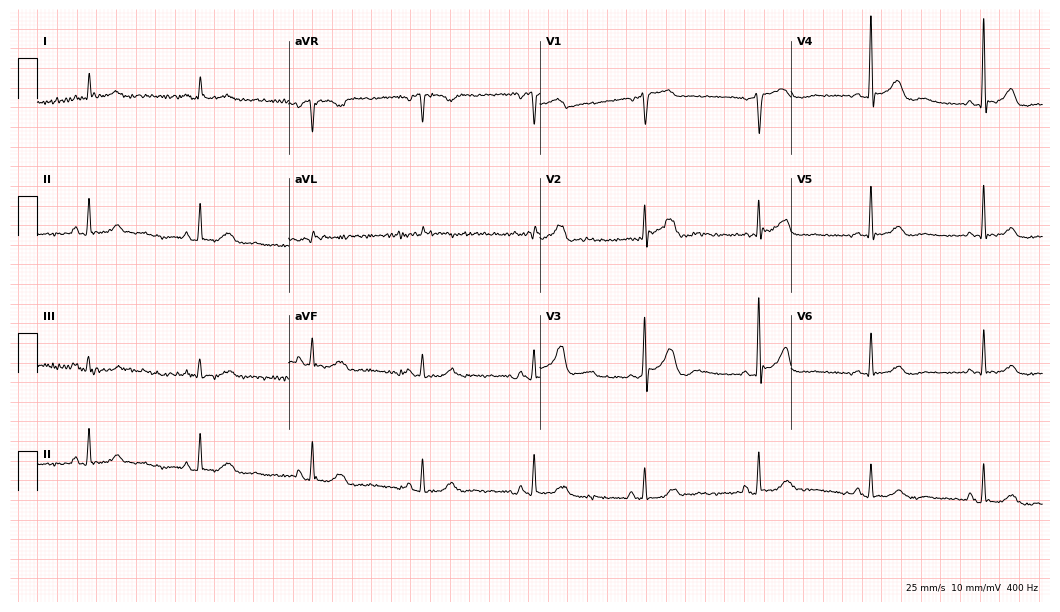
12-lead ECG (10.2-second recording at 400 Hz) from a male patient, 77 years old. Screened for six findings — first-degree AV block, right bundle branch block, left bundle branch block, sinus bradycardia, atrial fibrillation, sinus tachycardia — none is recorded.